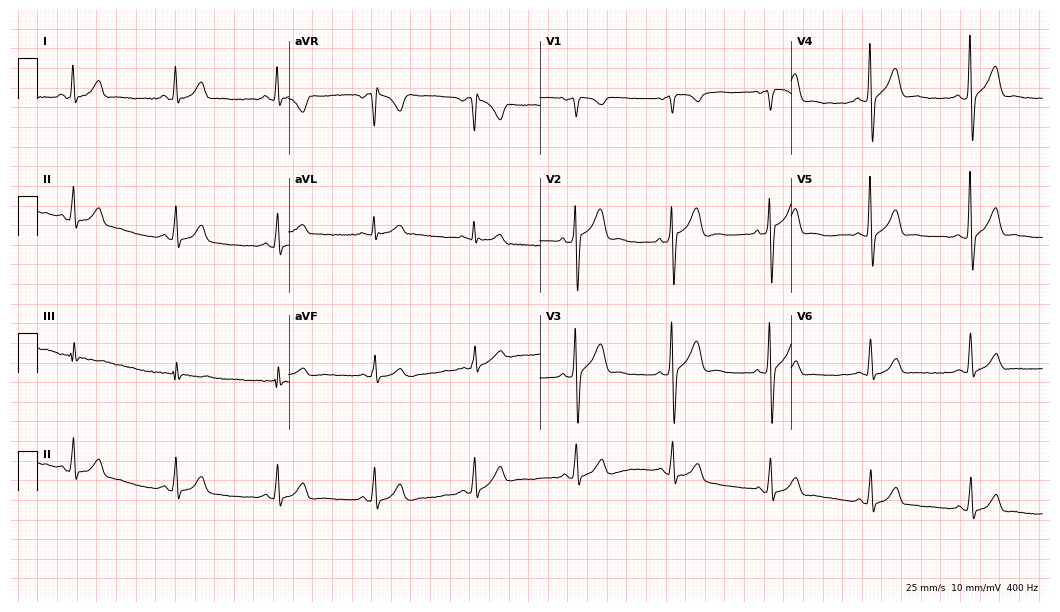
Standard 12-lead ECG recorded from a 50-year-old man (10.2-second recording at 400 Hz). Read as a normal ECG.